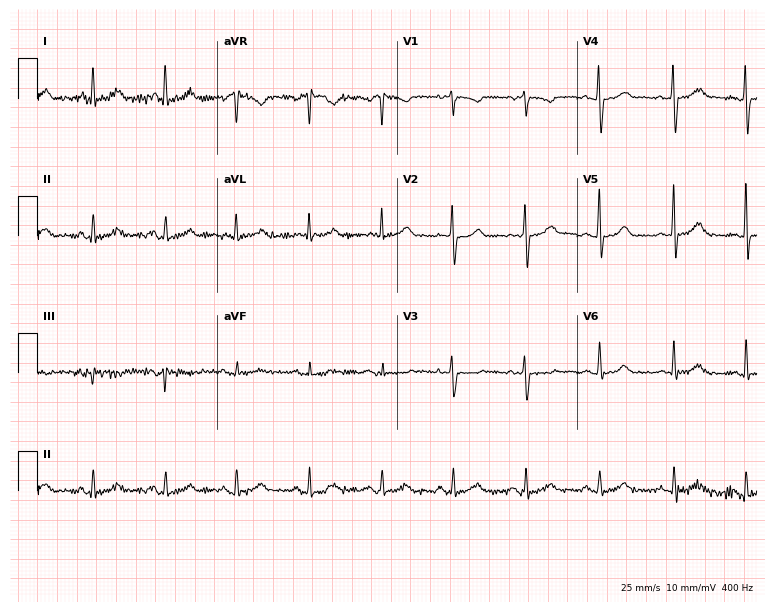
ECG — a 37-year-old woman. Labelled as a normal ECG.